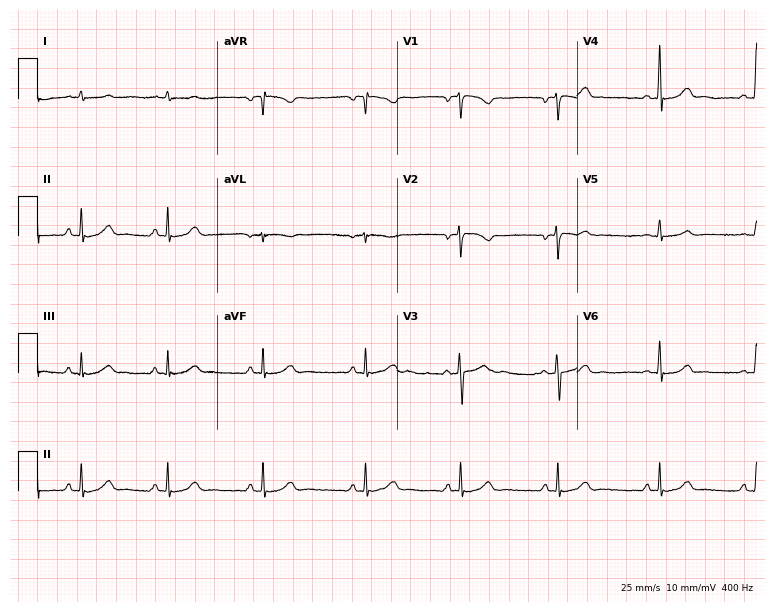
Resting 12-lead electrocardiogram. Patient: a 24-year-old female. None of these six findings is recorded: first-degree AV block, right bundle branch block, left bundle branch block, sinus bradycardia, atrial fibrillation, sinus tachycardia. Only these six findings were labelled.